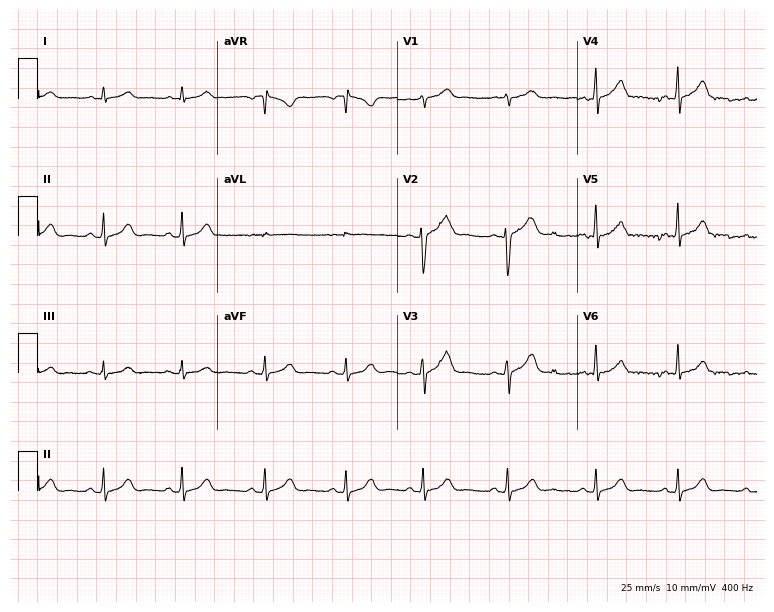
12-lead ECG from a 31-year-old female patient. Recorded interpretation: within normal limits.